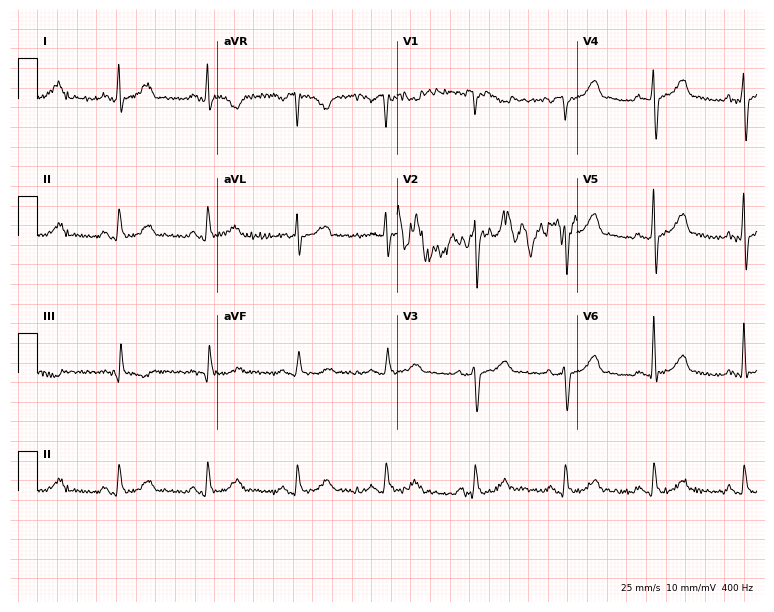
Electrocardiogram (7.3-second recording at 400 Hz), a male patient, 41 years old. Of the six screened findings (first-degree AV block, right bundle branch block, left bundle branch block, sinus bradycardia, atrial fibrillation, sinus tachycardia), none is recorded.